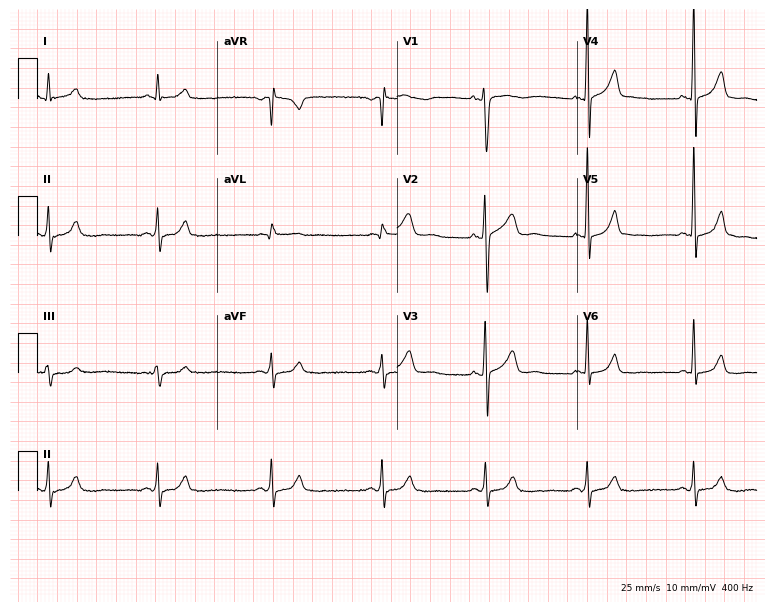
Resting 12-lead electrocardiogram. Patient: a male, 60 years old. Read as a normal ECG.